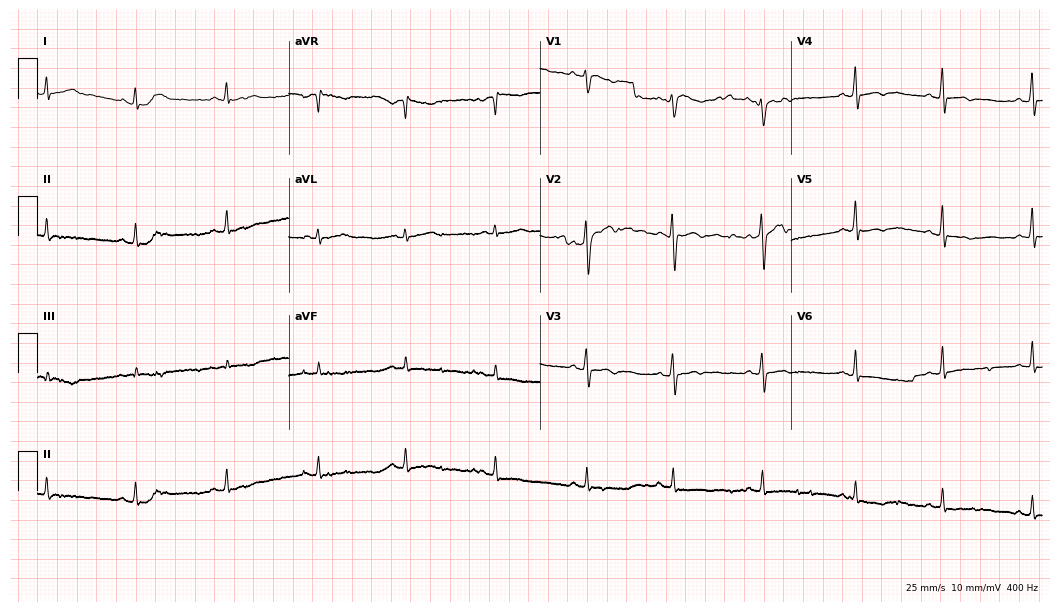
Electrocardiogram, a 36-year-old female patient. Of the six screened findings (first-degree AV block, right bundle branch block (RBBB), left bundle branch block (LBBB), sinus bradycardia, atrial fibrillation (AF), sinus tachycardia), none is recorded. Other findings, if any, are not listed.